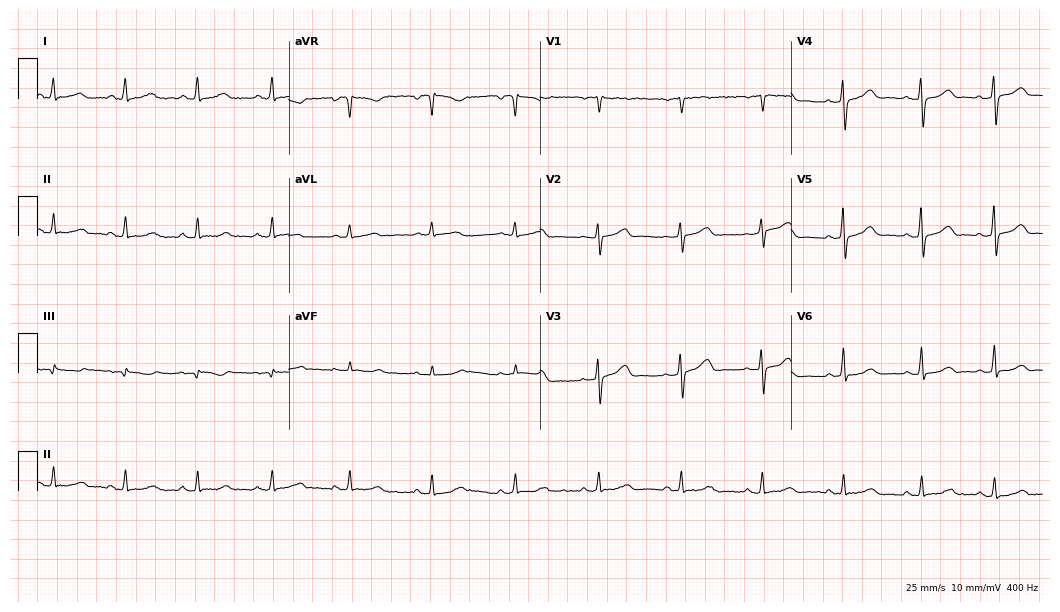
ECG (10.2-second recording at 400 Hz) — a 58-year-old woman. Labelled as a normal ECG.